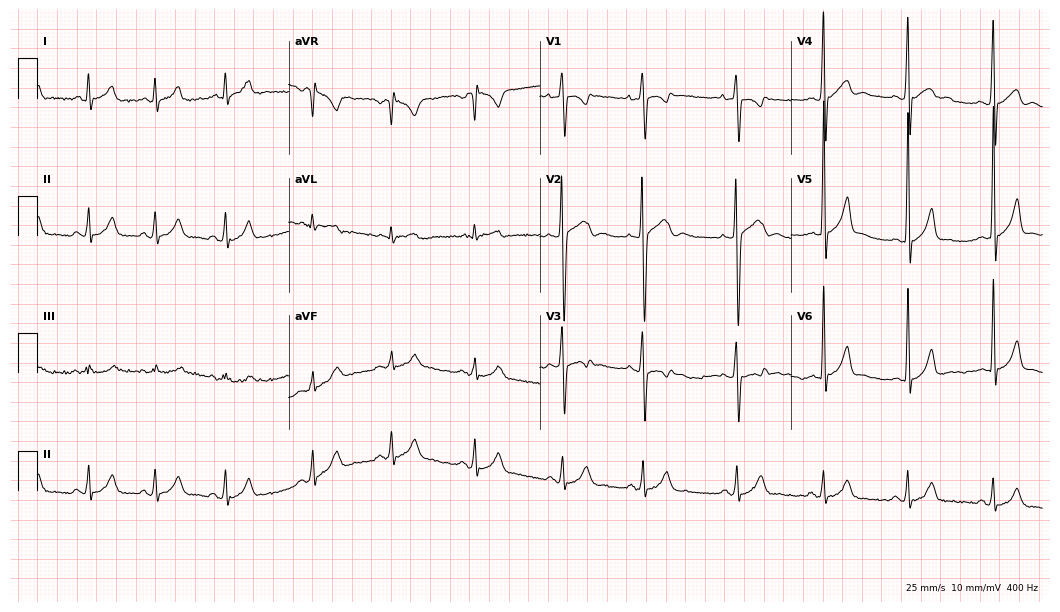
Resting 12-lead electrocardiogram. Patient: a 17-year-old male. Read as a normal ECG.